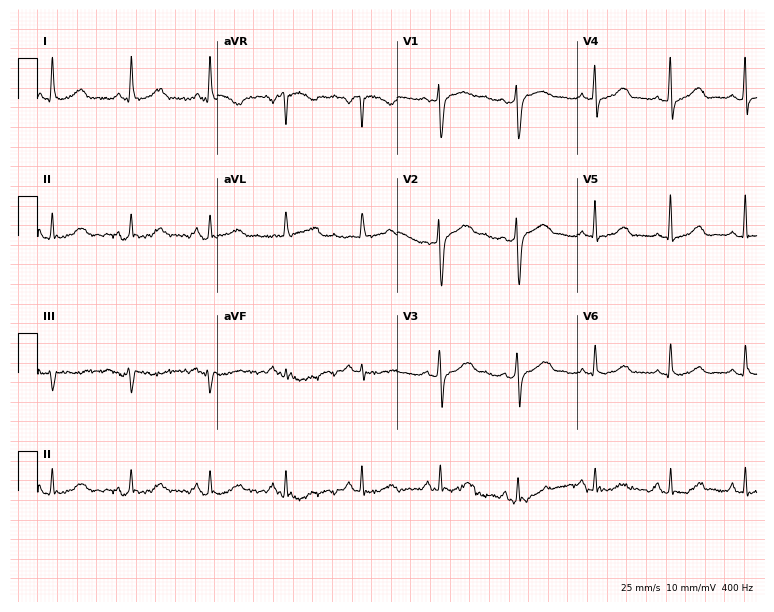
ECG (7.3-second recording at 400 Hz) — a 72-year-old female. Labelled as a normal ECG.